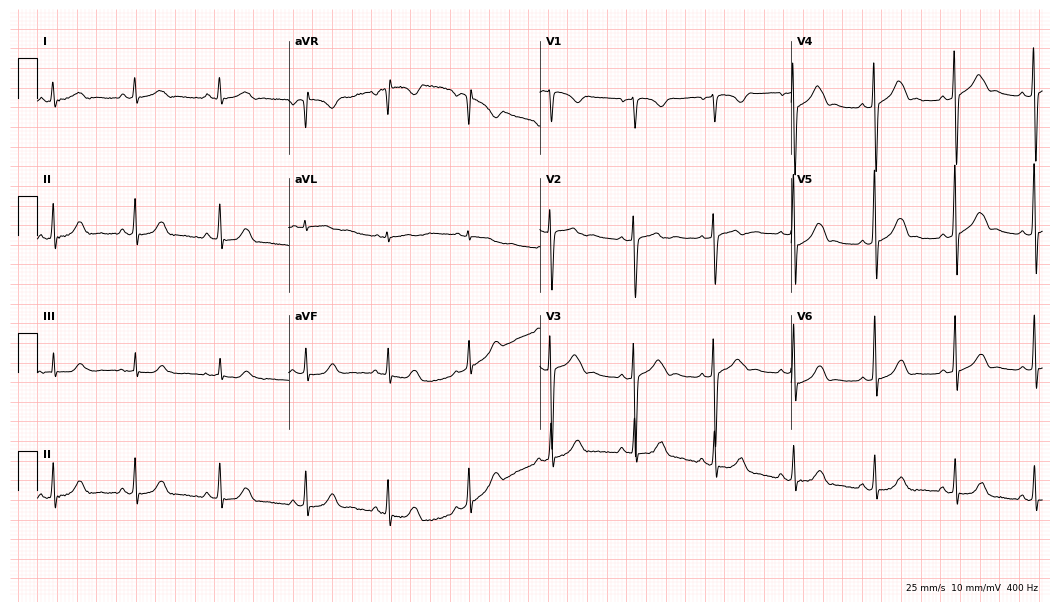
Electrocardiogram, a man, 18 years old. Overall reading on record: normal ECG.